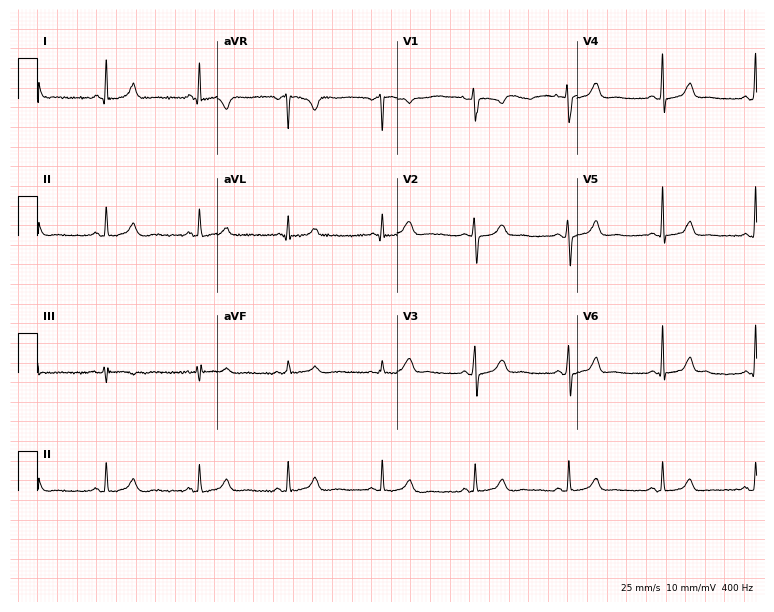
12-lead ECG from a 45-year-old female patient. No first-degree AV block, right bundle branch block, left bundle branch block, sinus bradycardia, atrial fibrillation or sinus tachycardia recorded for this tracing.